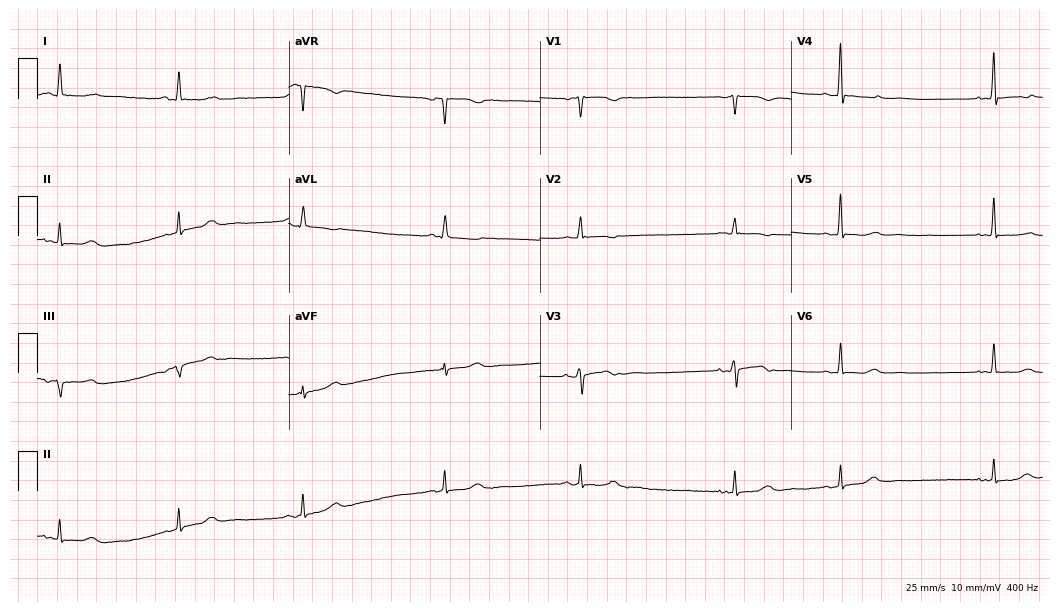
12-lead ECG from a female, 65 years old. Screened for six findings — first-degree AV block, right bundle branch block, left bundle branch block, sinus bradycardia, atrial fibrillation, sinus tachycardia — none is recorded. Only these six findings were labelled.